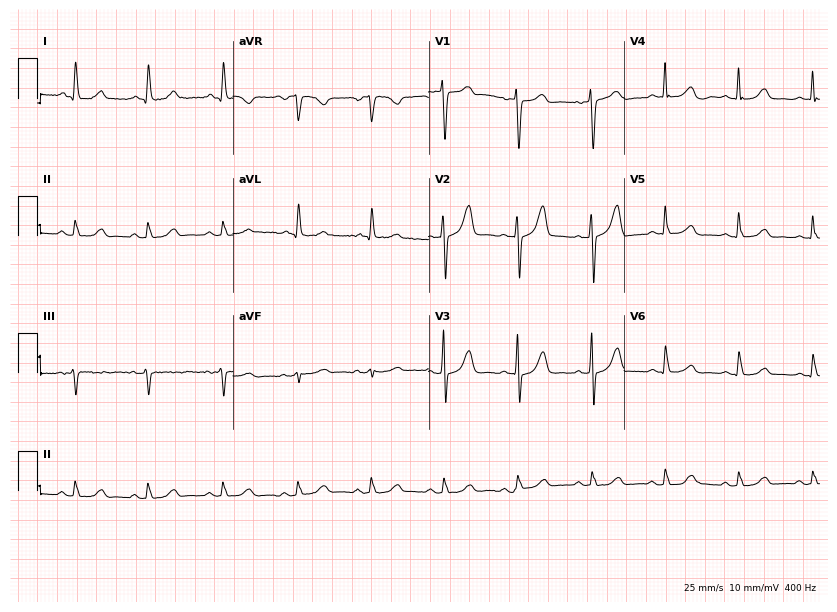
Electrocardiogram, a 77-year-old woman. Overall reading on record: normal ECG.